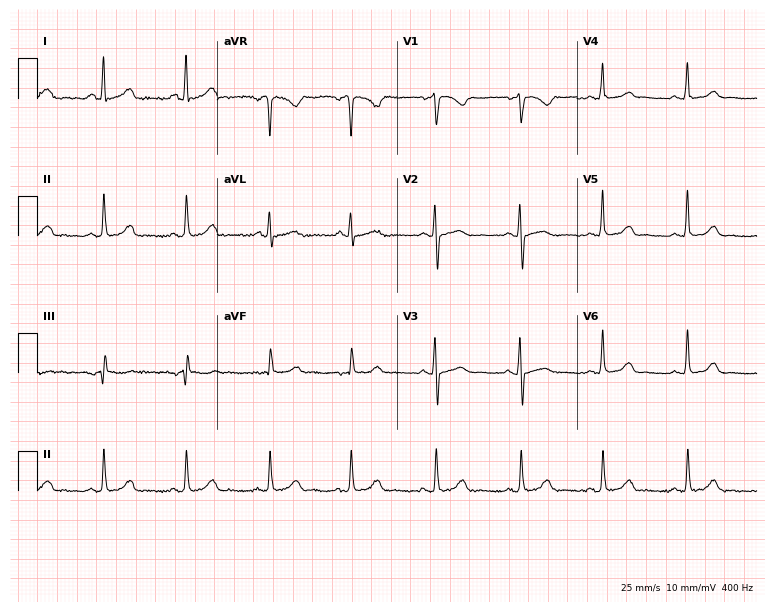
12-lead ECG from a female patient, 58 years old. Labelled as a normal ECG.